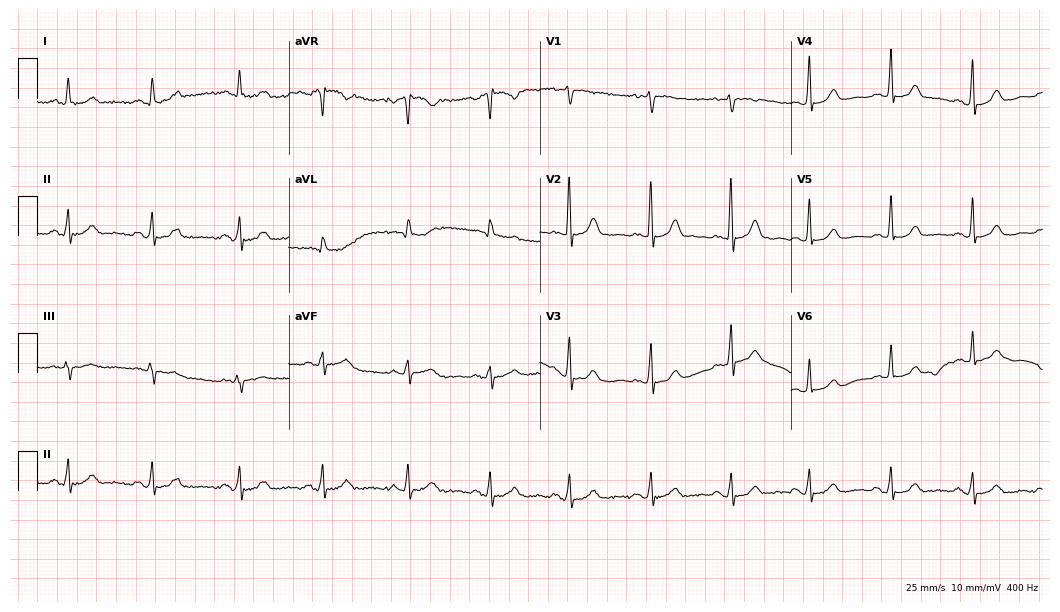
Standard 12-lead ECG recorded from an 82-year-old female (10.2-second recording at 400 Hz). Read as a normal ECG.